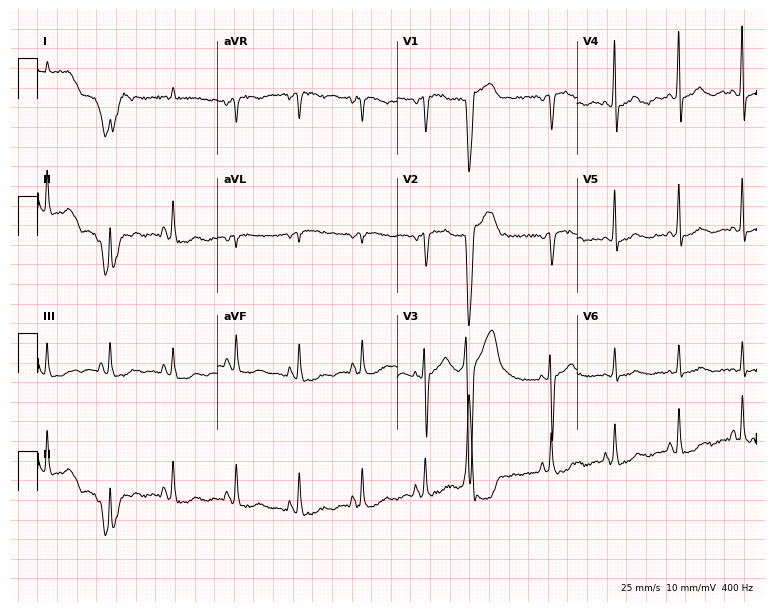
12-lead ECG from a female, 82 years old (7.3-second recording at 400 Hz). No first-degree AV block, right bundle branch block (RBBB), left bundle branch block (LBBB), sinus bradycardia, atrial fibrillation (AF) or sinus tachycardia recorded for this tracing.